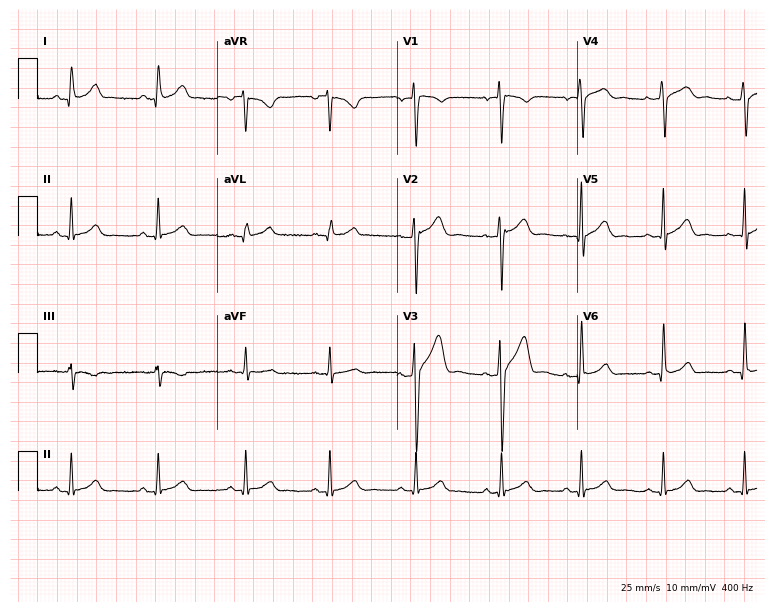
12-lead ECG (7.3-second recording at 400 Hz) from a 33-year-old man. Labelled as a normal ECG.